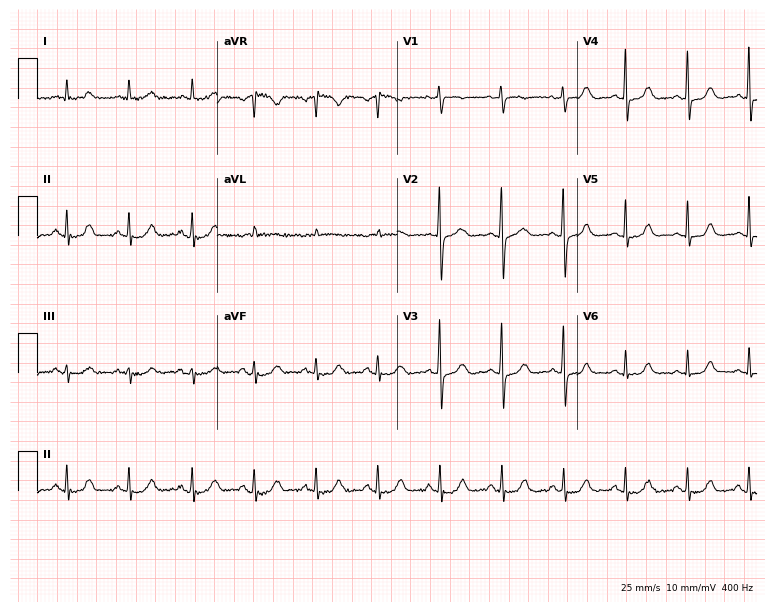
Electrocardiogram, a female, 76 years old. Overall reading on record: normal ECG.